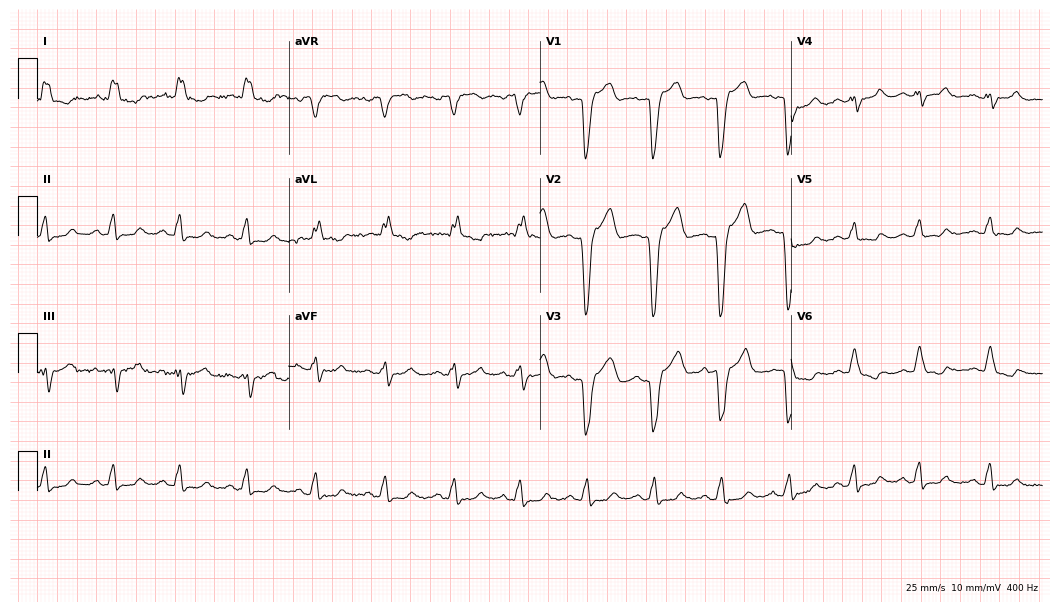
Resting 12-lead electrocardiogram (10.2-second recording at 400 Hz). Patient: a 53-year-old female. The tracing shows left bundle branch block (LBBB).